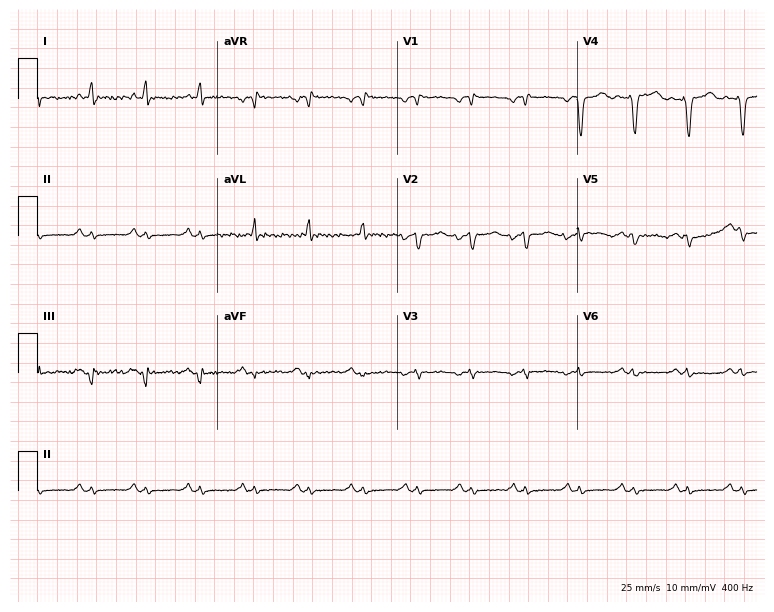
Standard 12-lead ECG recorded from a man, 38 years old (7.3-second recording at 400 Hz). None of these six findings is recorded: first-degree AV block, right bundle branch block, left bundle branch block, sinus bradycardia, atrial fibrillation, sinus tachycardia.